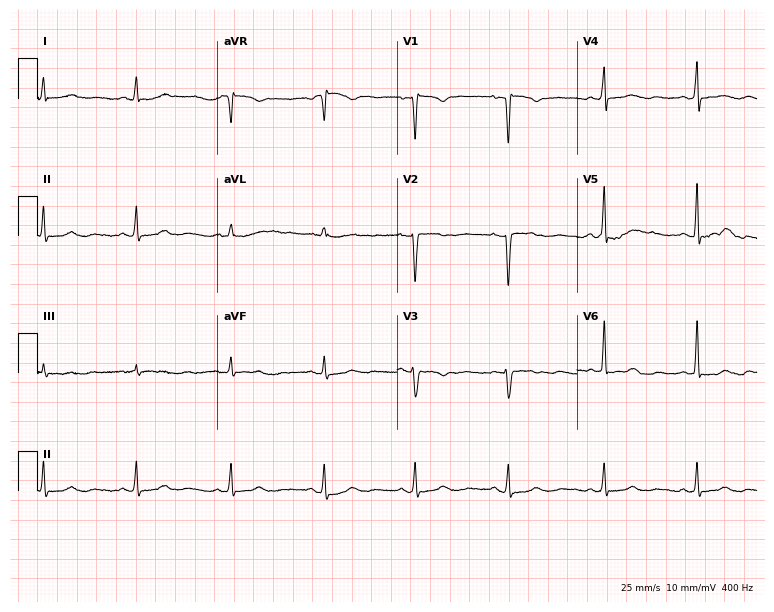
12-lead ECG from a female patient, 53 years old. No first-degree AV block, right bundle branch block, left bundle branch block, sinus bradycardia, atrial fibrillation or sinus tachycardia recorded for this tracing.